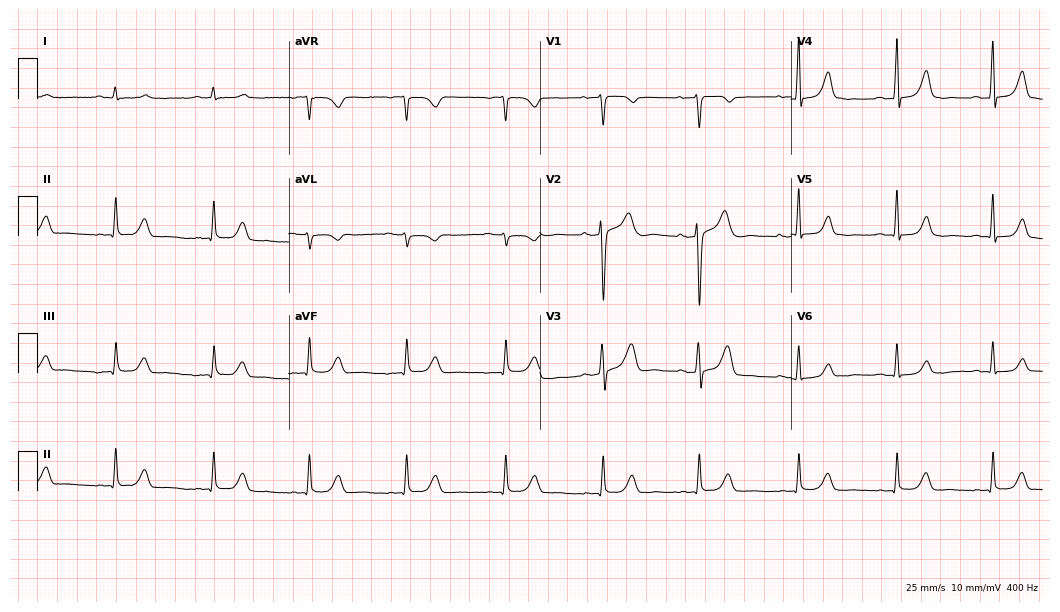
Resting 12-lead electrocardiogram. Patient: a female, 58 years old. Read as a normal ECG.